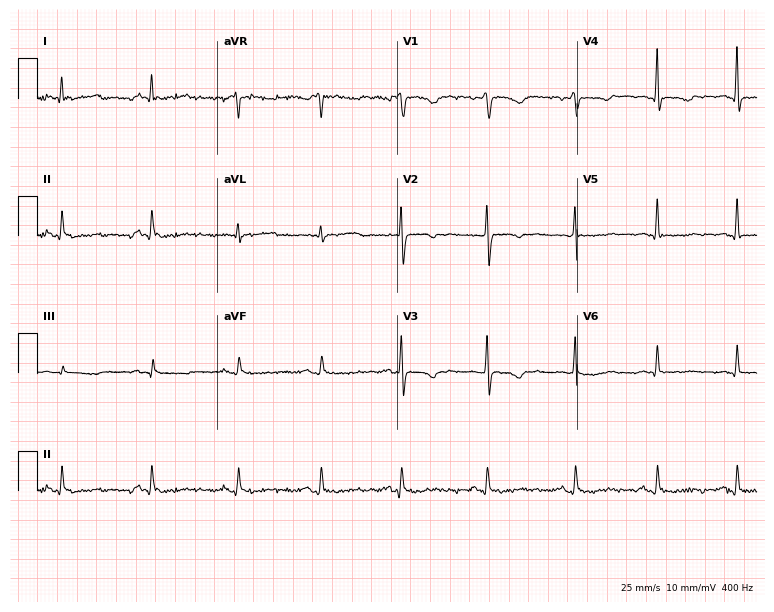
Standard 12-lead ECG recorded from a 53-year-old female. Read as a normal ECG.